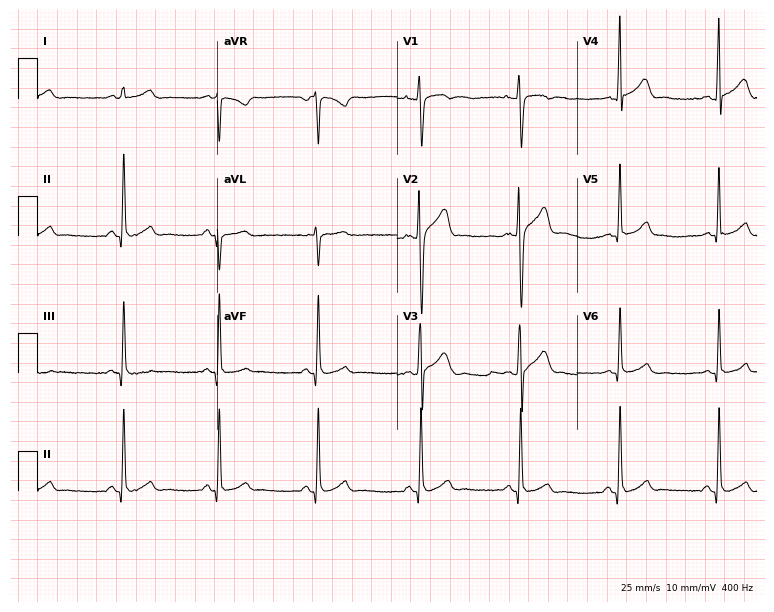
12-lead ECG from a male, 26 years old. Labelled as a normal ECG.